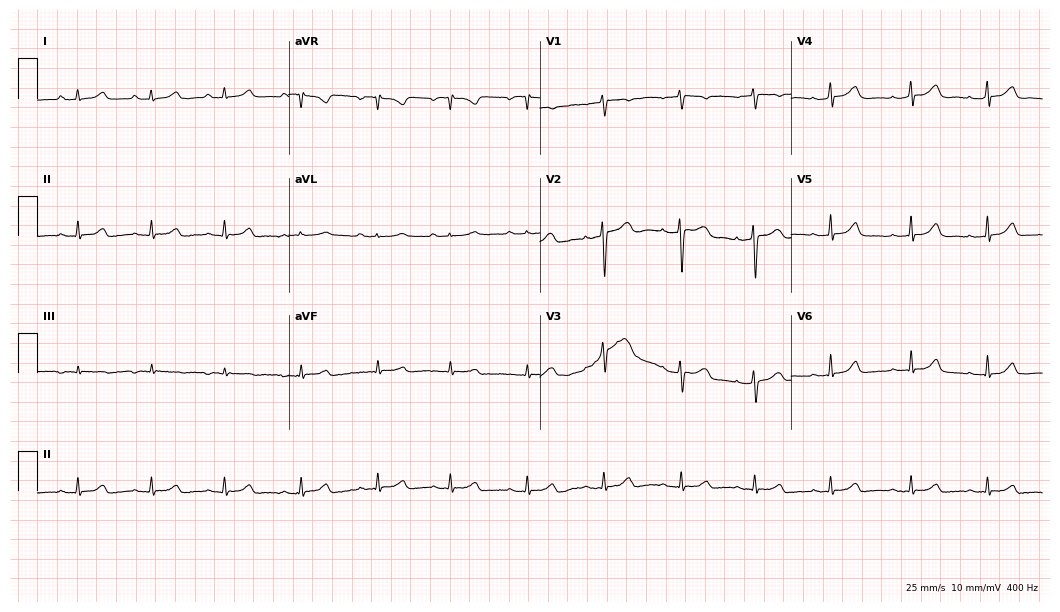
Resting 12-lead electrocardiogram (10.2-second recording at 400 Hz). Patient: a 19-year-old female. Read as a normal ECG.